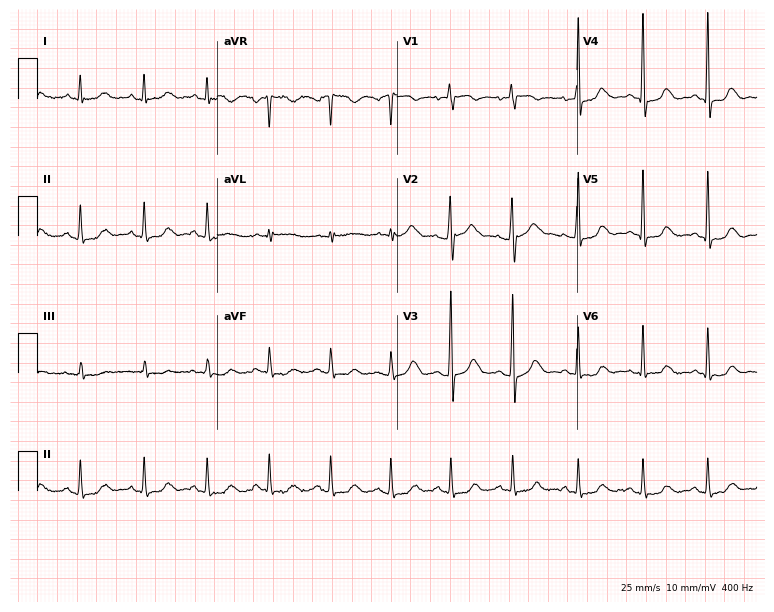
Resting 12-lead electrocardiogram (7.3-second recording at 400 Hz). Patient: a 56-year-old female. None of these six findings is recorded: first-degree AV block, right bundle branch block, left bundle branch block, sinus bradycardia, atrial fibrillation, sinus tachycardia. Only these six findings were labelled.